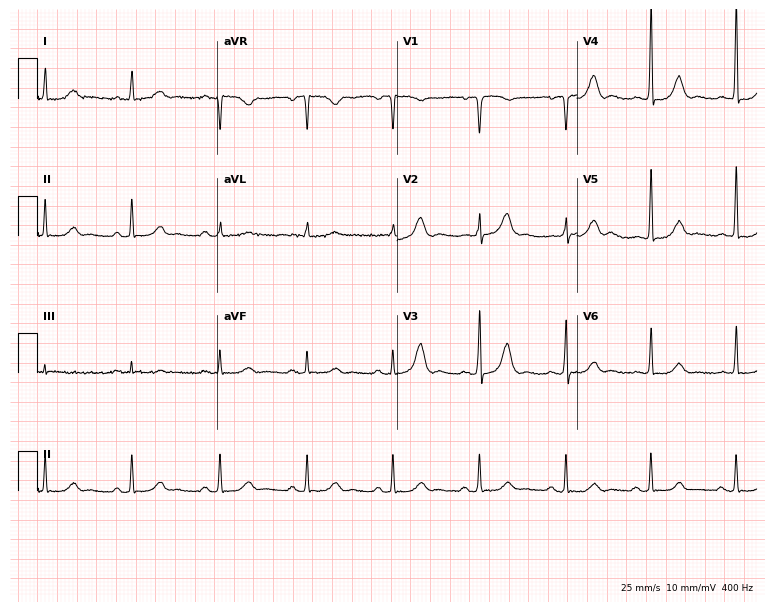
12-lead ECG from an 80-year-old woman. Recorded interpretation: within normal limits.